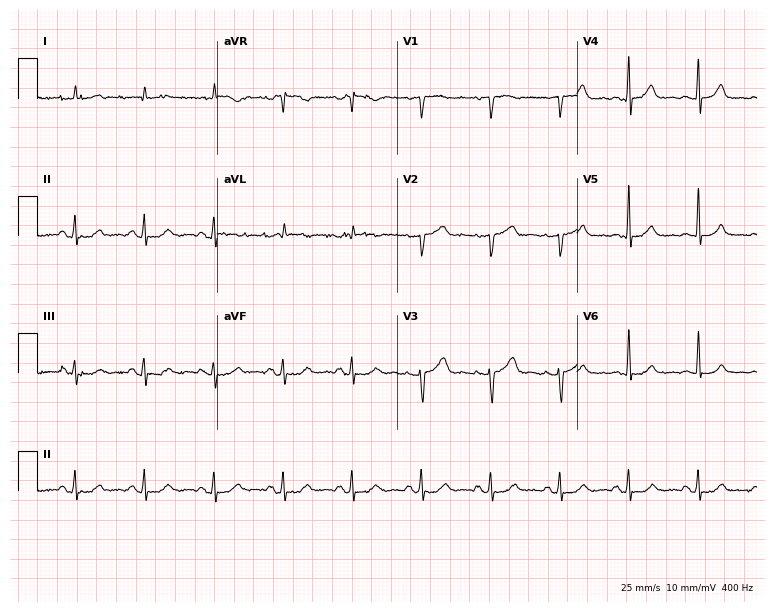
ECG (7.3-second recording at 400 Hz) — a man, 76 years old. Screened for six findings — first-degree AV block, right bundle branch block (RBBB), left bundle branch block (LBBB), sinus bradycardia, atrial fibrillation (AF), sinus tachycardia — none is recorded.